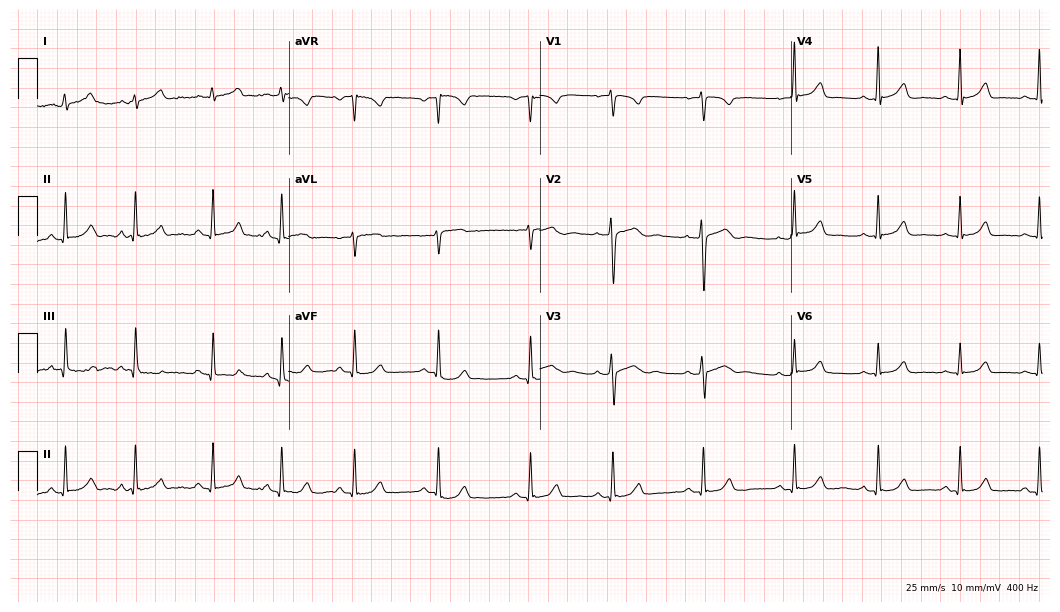
Resting 12-lead electrocardiogram (10.2-second recording at 400 Hz). Patient: a female, 24 years old. Read as a normal ECG.